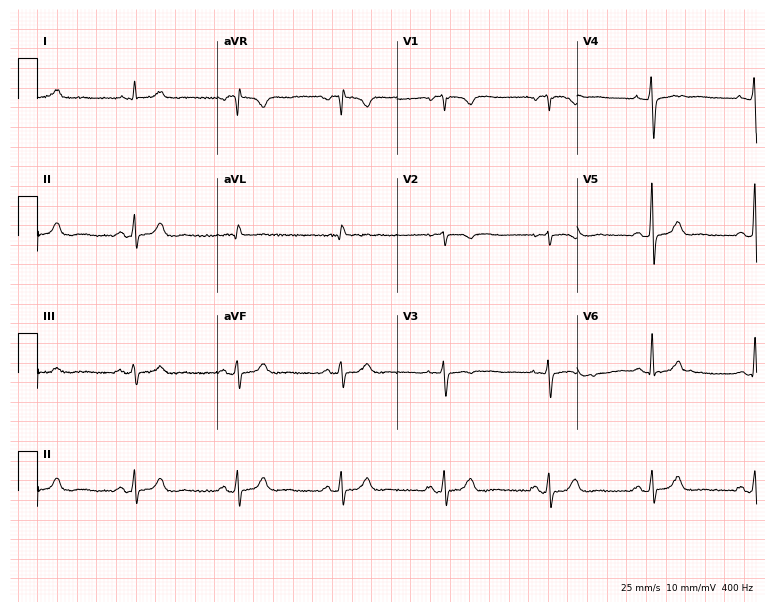
Resting 12-lead electrocardiogram (7.3-second recording at 400 Hz). Patient: a woman, 79 years old. None of these six findings is recorded: first-degree AV block, right bundle branch block, left bundle branch block, sinus bradycardia, atrial fibrillation, sinus tachycardia. Only these six findings were labelled.